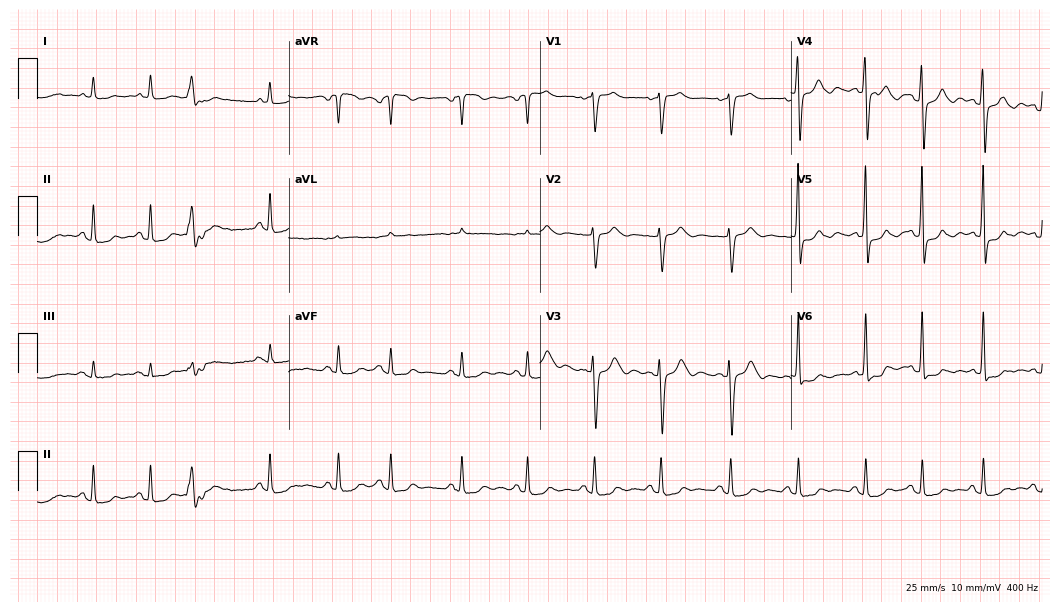
Resting 12-lead electrocardiogram (10.2-second recording at 400 Hz). Patient: a woman, 71 years old. None of these six findings is recorded: first-degree AV block, right bundle branch block, left bundle branch block, sinus bradycardia, atrial fibrillation, sinus tachycardia.